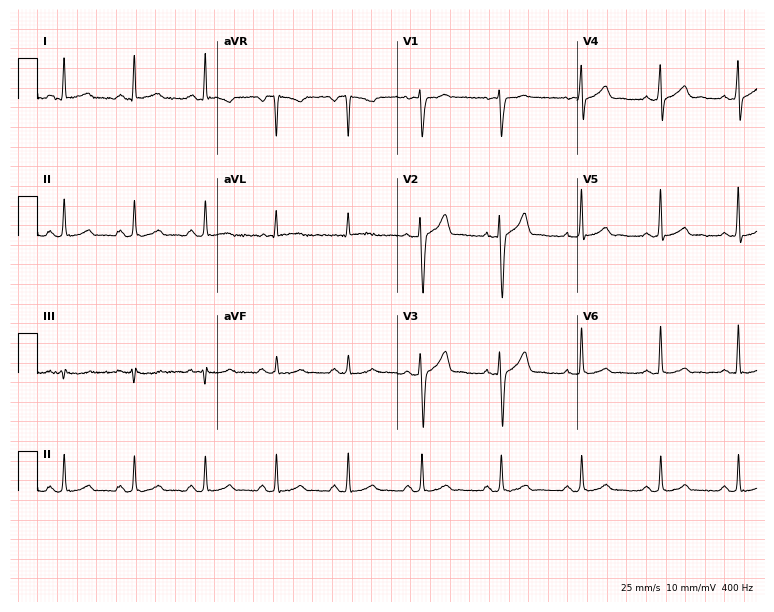
Resting 12-lead electrocardiogram (7.3-second recording at 400 Hz). Patient: a 28-year-old male. Read as a normal ECG.